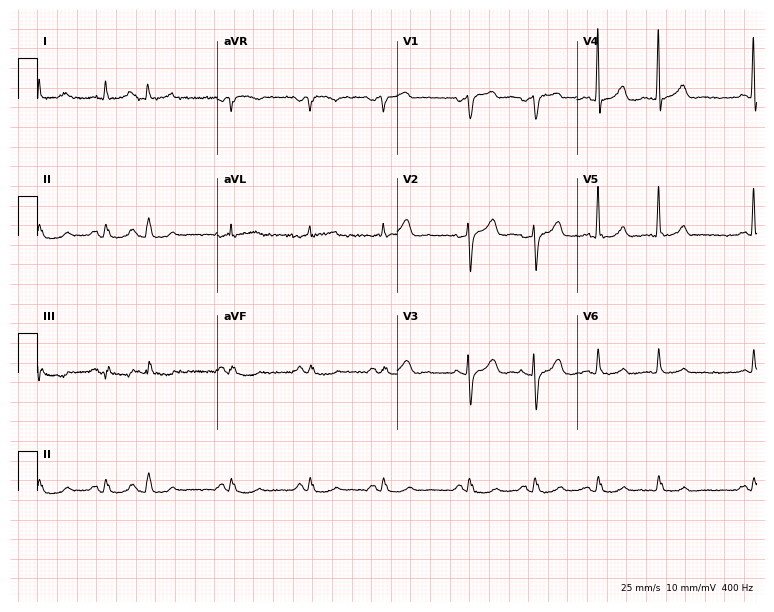
12-lead ECG (7.3-second recording at 400 Hz) from a male, 83 years old. Screened for six findings — first-degree AV block, right bundle branch block, left bundle branch block, sinus bradycardia, atrial fibrillation, sinus tachycardia — none is recorded. Other findings, if any, are not listed.